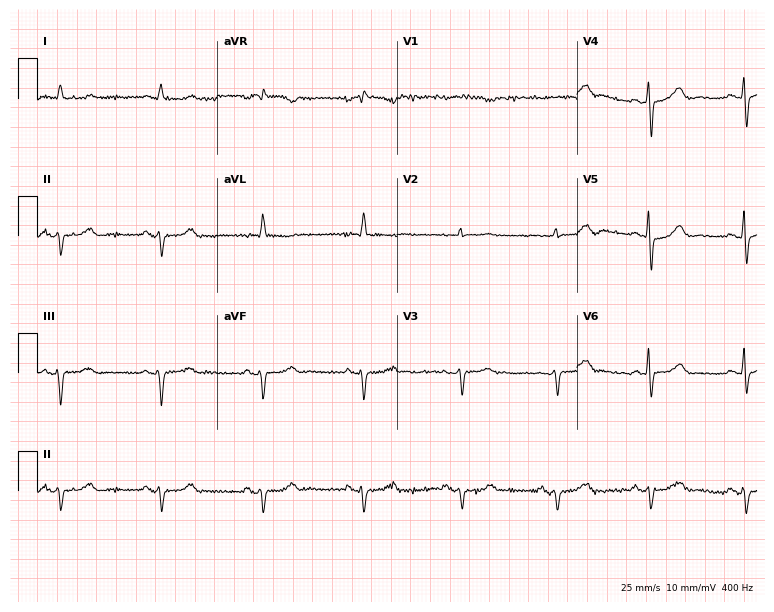
12-lead ECG from a 77-year-old male (7.3-second recording at 400 Hz). No first-degree AV block, right bundle branch block, left bundle branch block, sinus bradycardia, atrial fibrillation or sinus tachycardia recorded for this tracing. Findings outside these six are not listed.